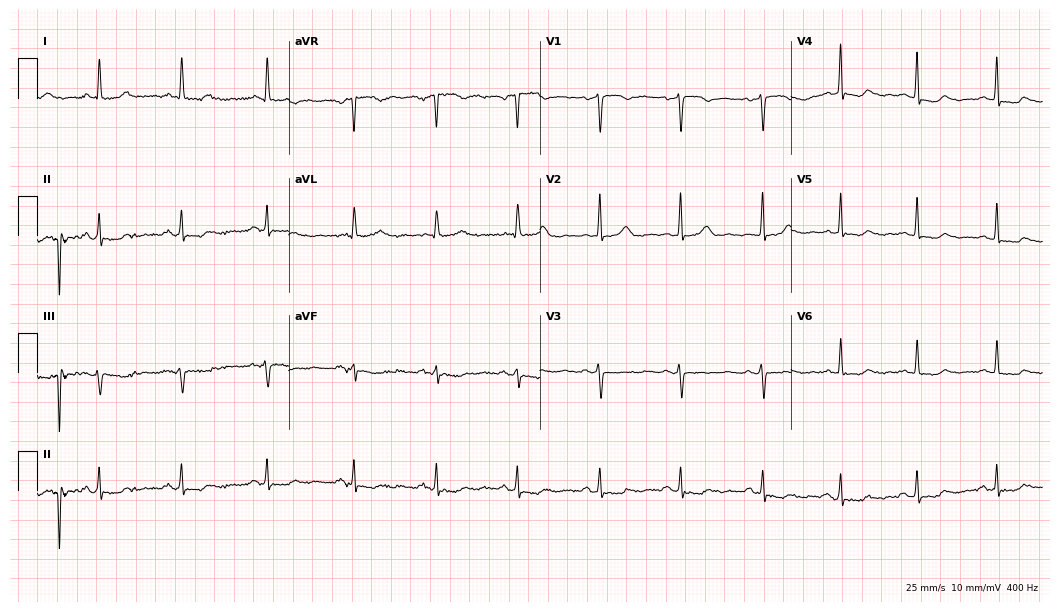
Resting 12-lead electrocardiogram. Patient: a 60-year-old female. Read as a normal ECG.